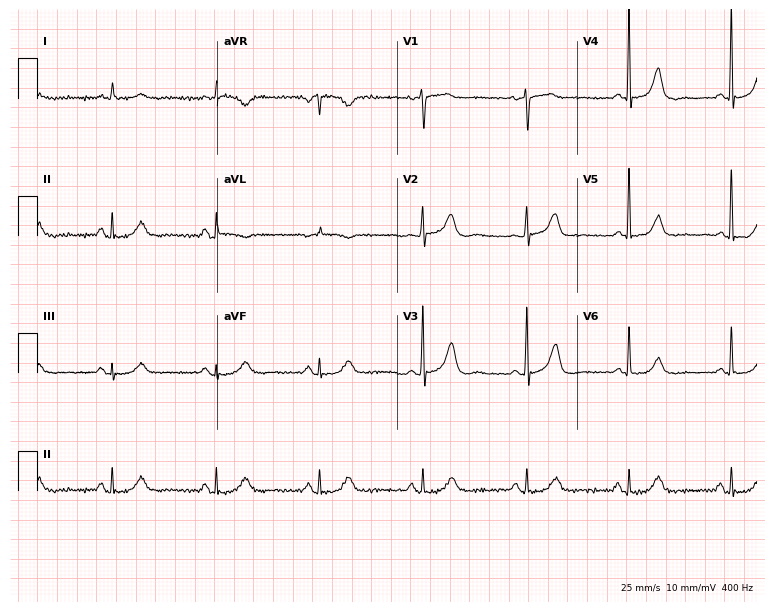
Standard 12-lead ECG recorded from an 80-year-old woman (7.3-second recording at 400 Hz). None of these six findings is recorded: first-degree AV block, right bundle branch block, left bundle branch block, sinus bradycardia, atrial fibrillation, sinus tachycardia. Other findings, if any, are not listed.